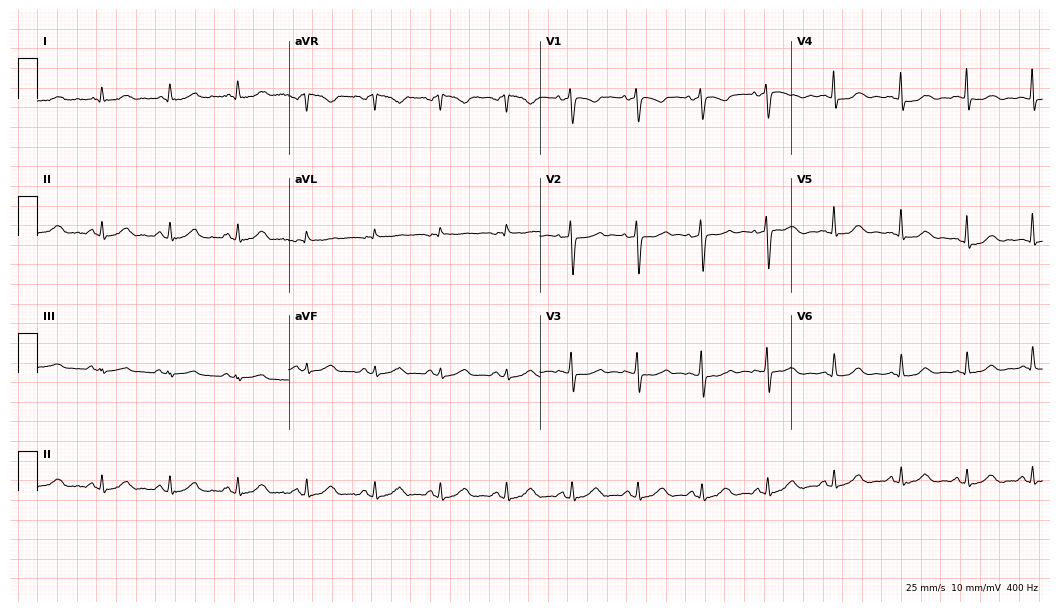
12-lead ECG (10.2-second recording at 400 Hz) from a 41-year-old woman. Labelled as a normal ECG.